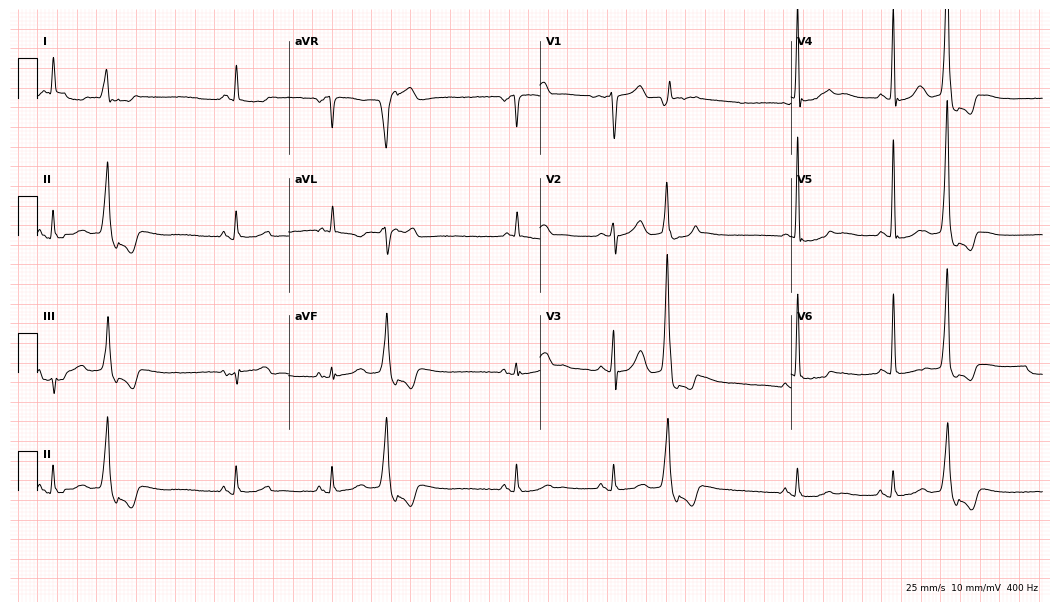
Electrocardiogram (10.2-second recording at 400 Hz), a 77-year-old male. Of the six screened findings (first-degree AV block, right bundle branch block, left bundle branch block, sinus bradycardia, atrial fibrillation, sinus tachycardia), none is recorded. Other findings, if any, are not listed.